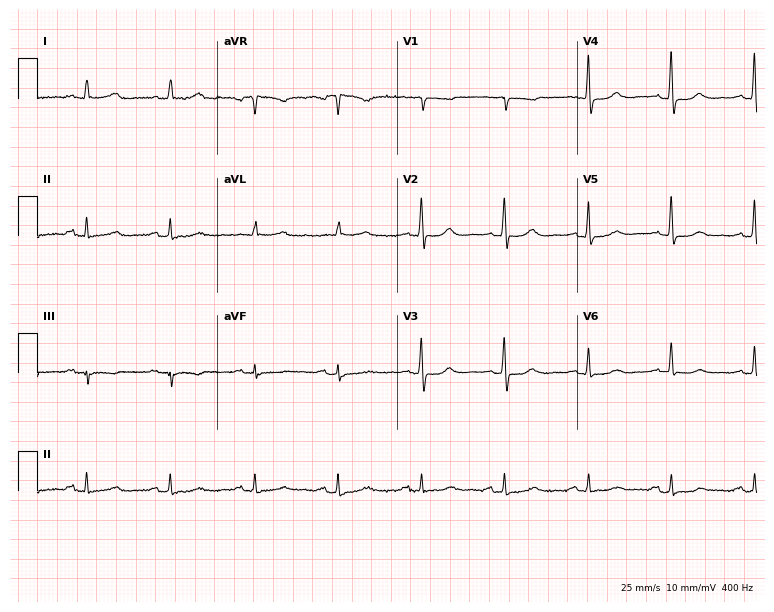
Electrocardiogram, a 70-year-old woman. Overall reading on record: normal ECG.